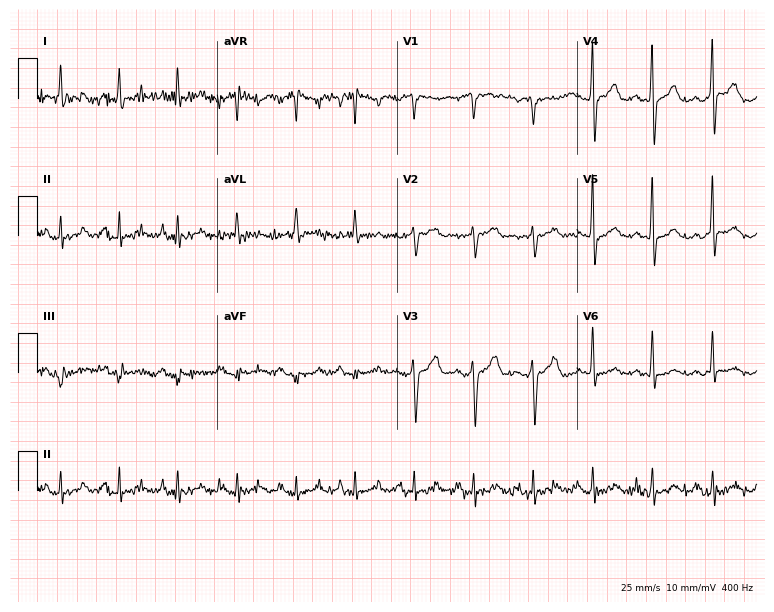
12-lead ECG from a 68-year-old man. Labelled as a normal ECG.